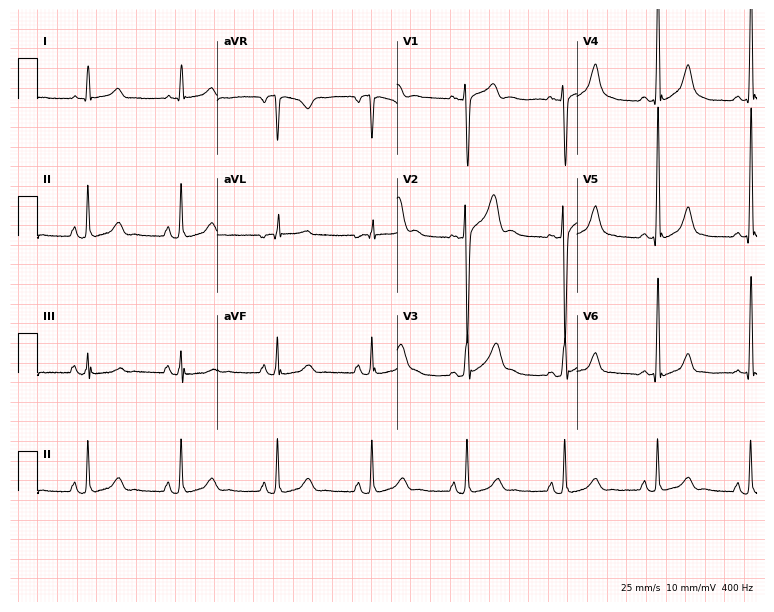
12-lead ECG from a male patient, 21 years old. Labelled as a normal ECG.